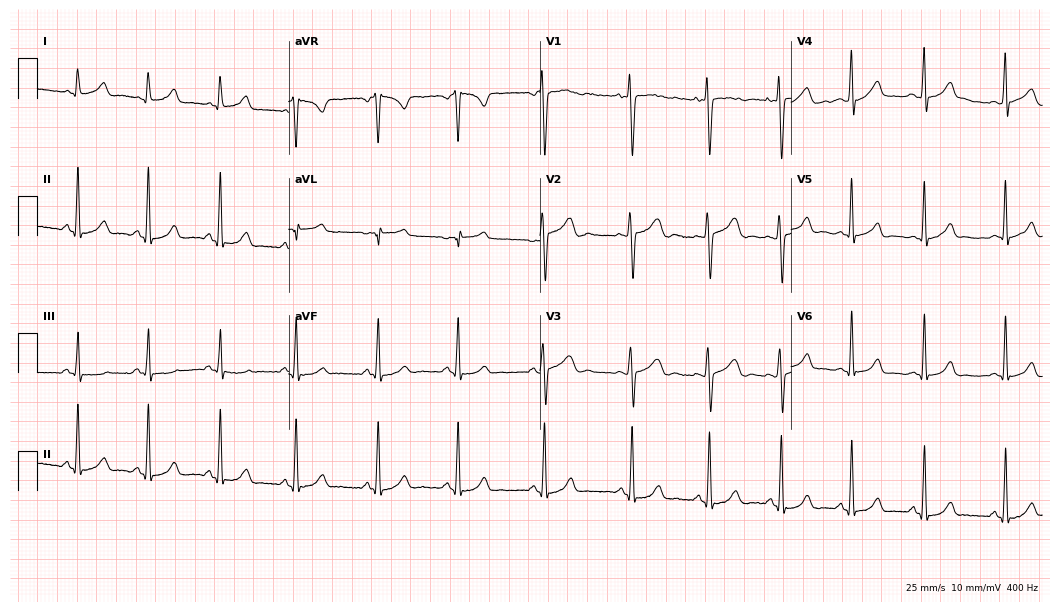
Standard 12-lead ECG recorded from an 18-year-old female (10.2-second recording at 400 Hz). Read as a normal ECG.